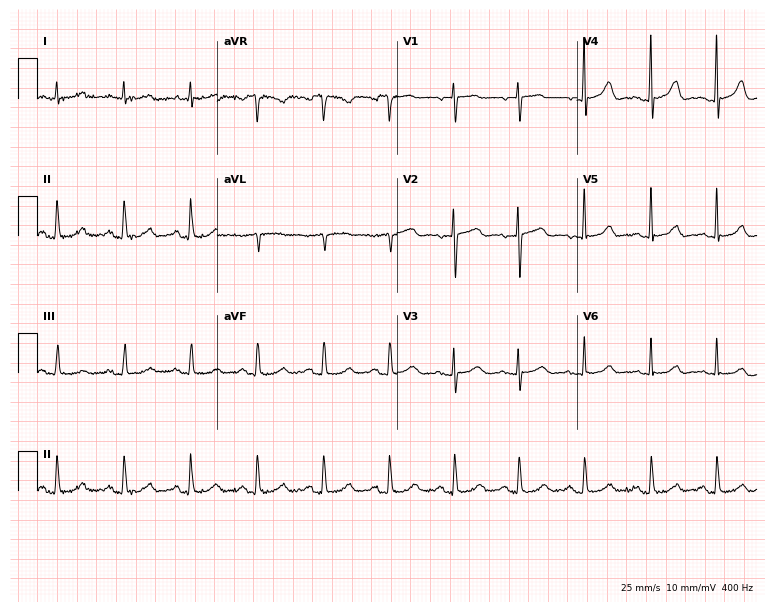
12-lead ECG from a female patient, 72 years old (7.3-second recording at 400 Hz). Recorded interpretation: within normal limits.